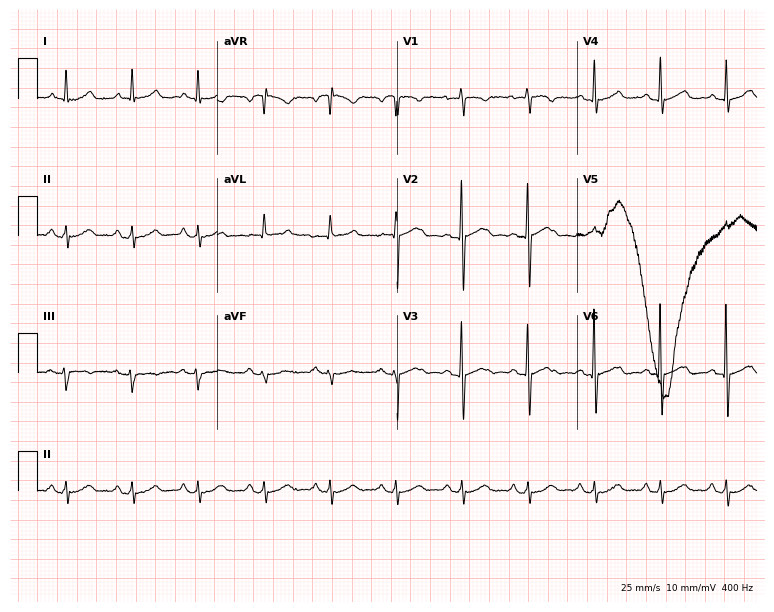
12-lead ECG from a man, 78 years old (7.3-second recording at 400 Hz). No first-degree AV block, right bundle branch block, left bundle branch block, sinus bradycardia, atrial fibrillation or sinus tachycardia recorded for this tracing. Only these six findings were labelled.